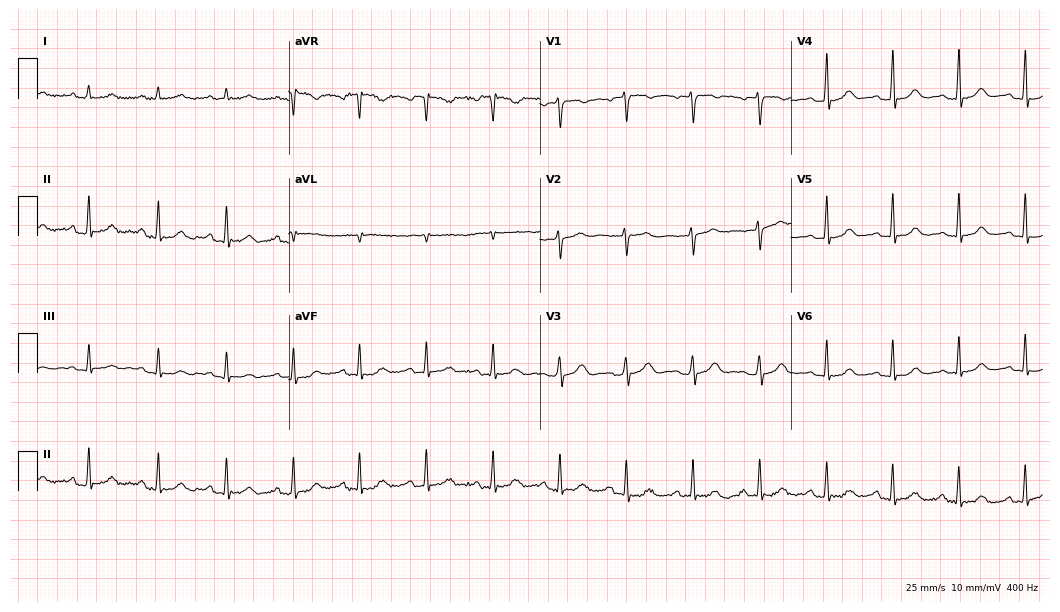
Electrocardiogram (10.2-second recording at 400 Hz), a female, 35 years old. Overall reading on record: normal ECG.